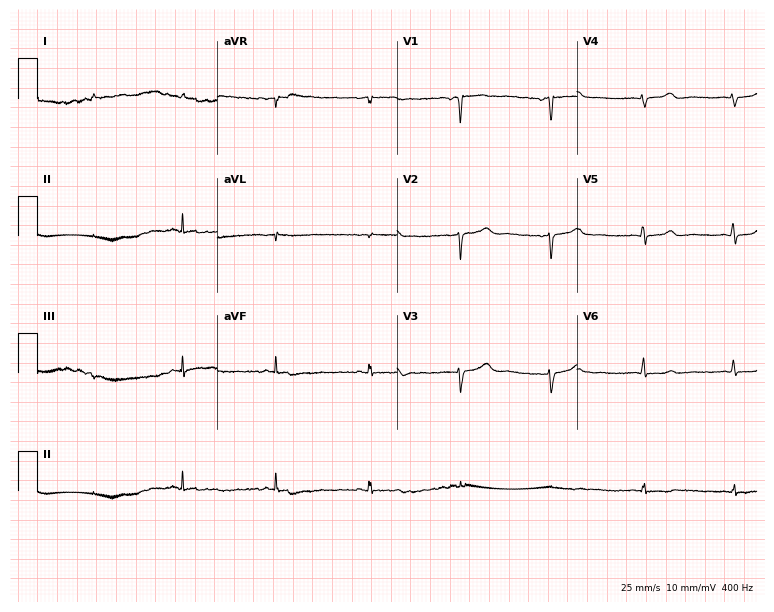
12-lead ECG from a female, 47 years old. No first-degree AV block, right bundle branch block, left bundle branch block, sinus bradycardia, atrial fibrillation or sinus tachycardia recorded for this tracing.